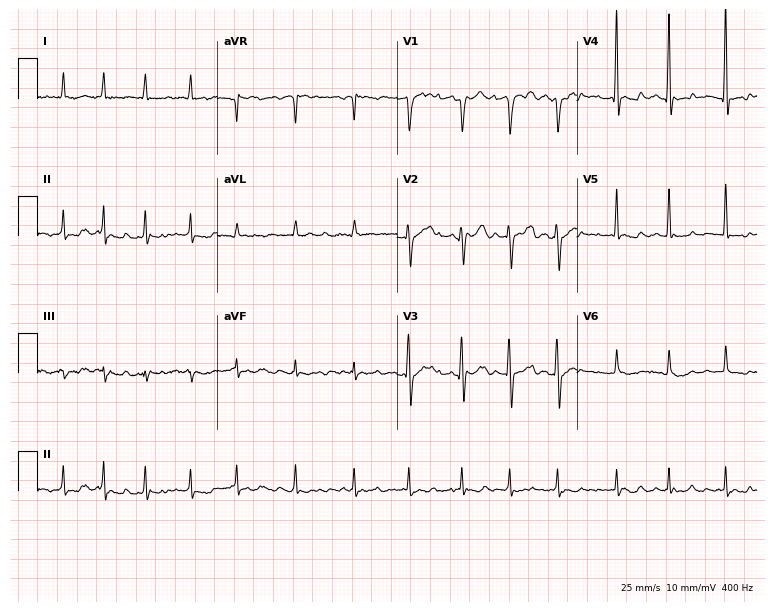
Resting 12-lead electrocardiogram. Patient: a man, 72 years old. The tracing shows atrial fibrillation (AF).